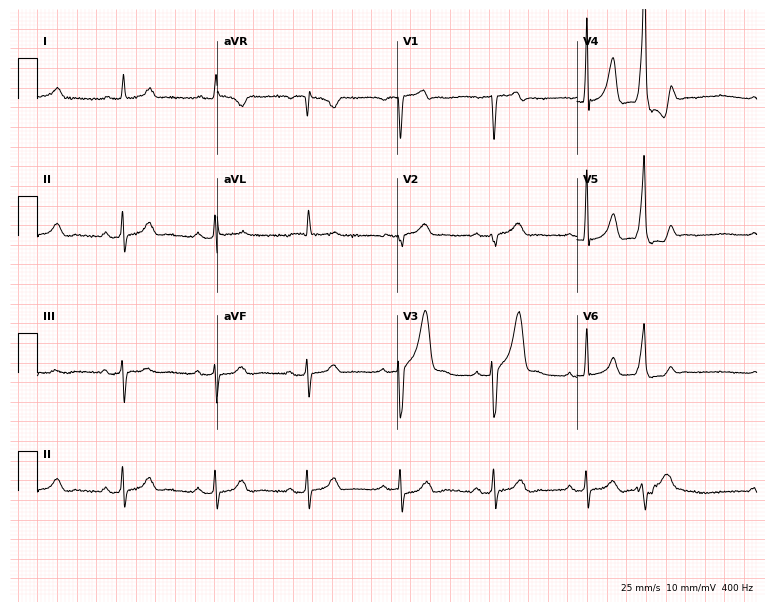
Standard 12-lead ECG recorded from a male, 61 years old. Read as a normal ECG.